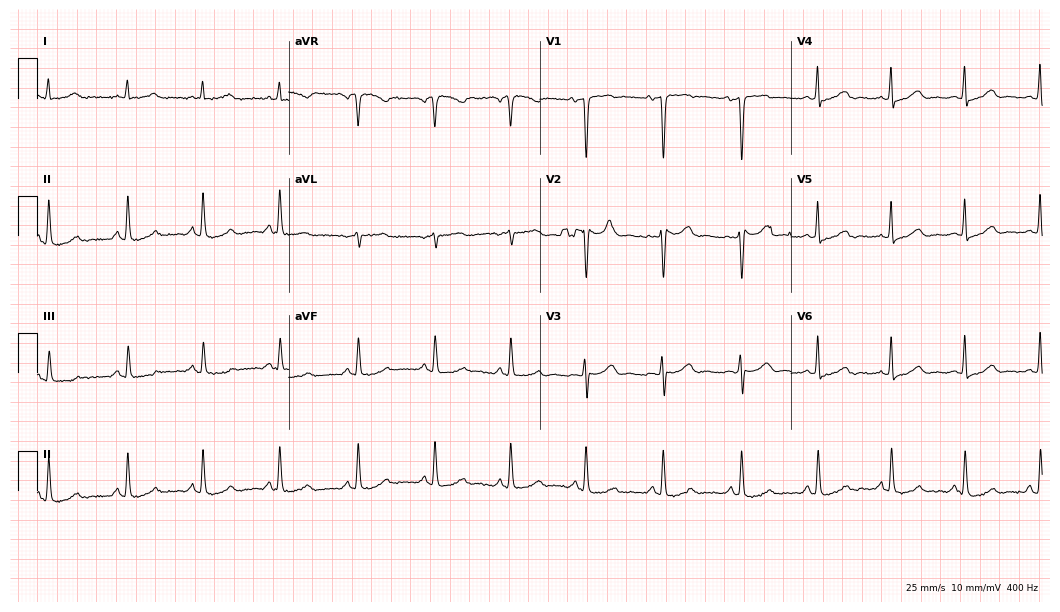
ECG — a female, 50 years old. Screened for six findings — first-degree AV block, right bundle branch block, left bundle branch block, sinus bradycardia, atrial fibrillation, sinus tachycardia — none is recorded.